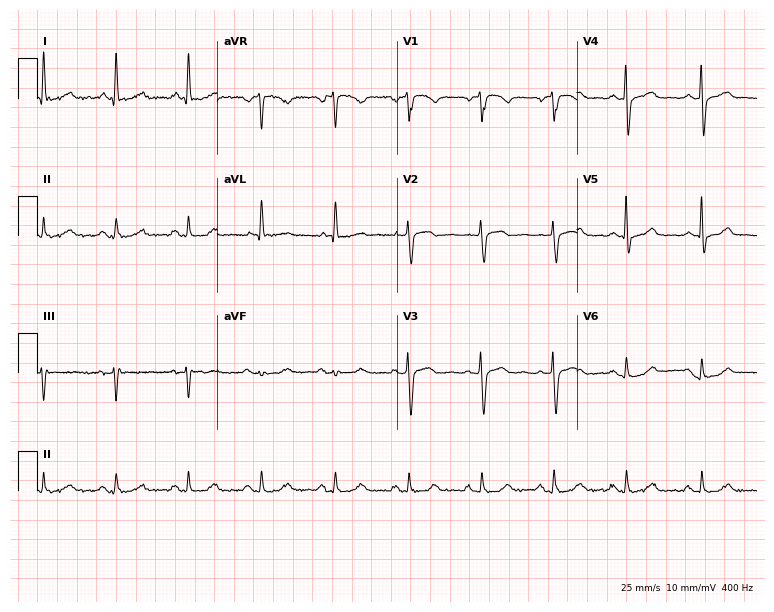
12-lead ECG from a 76-year-old woman (7.3-second recording at 400 Hz). Recorded interpretation: within normal limits.